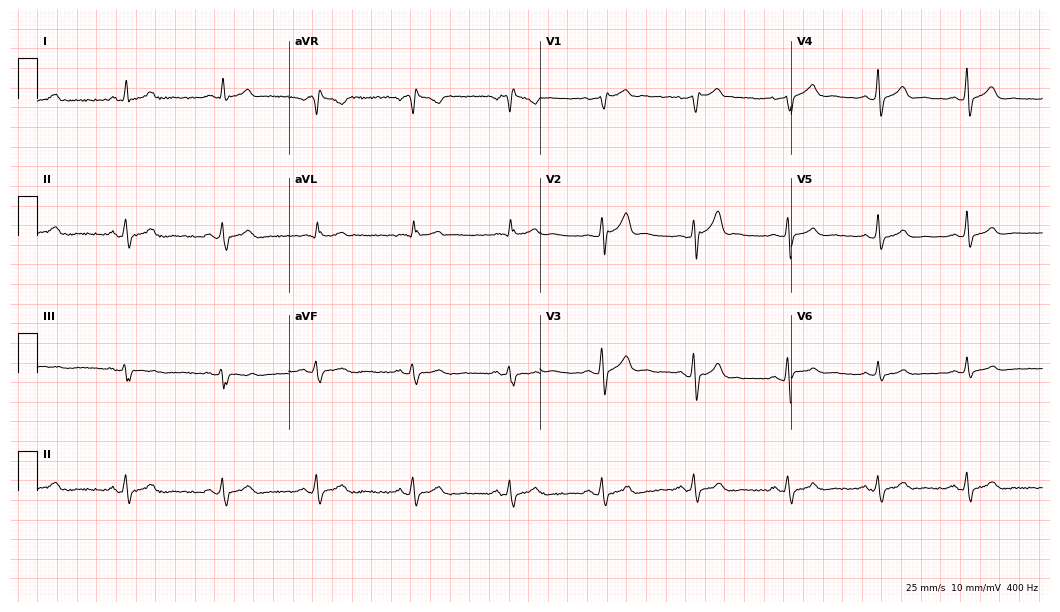
Resting 12-lead electrocardiogram (10.2-second recording at 400 Hz). Patient: a 33-year-old male. None of these six findings is recorded: first-degree AV block, right bundle branch block, left bundle branch block, sinus bradycardia, atrial fibrillation, sinus tachycardia.